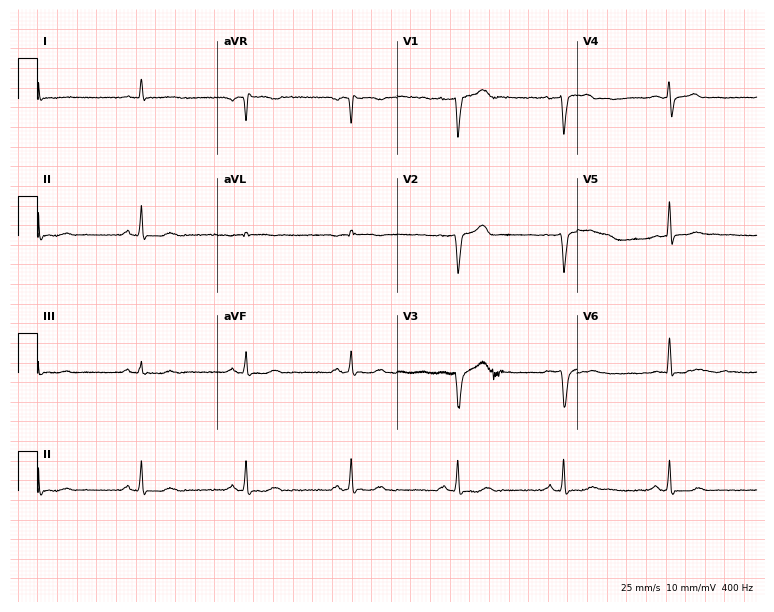
12-lead ECG from a 59-year-old male patient (7.3-second recording at 400 Hz). Recorded interpretation: within normal limits.